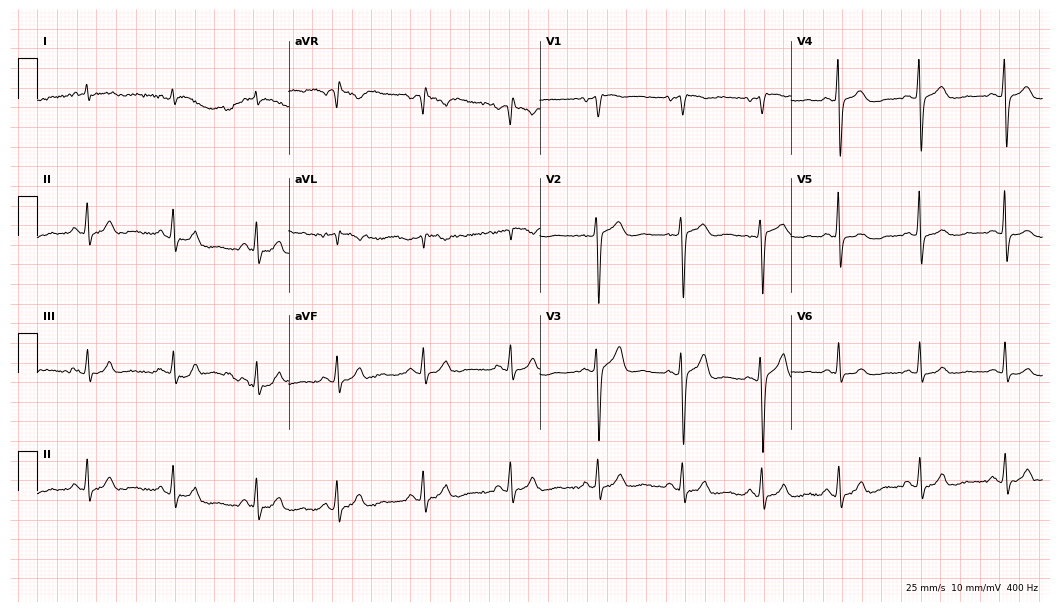
Standard 12-lead ECG recorded from a man, 51 years old. Read as a normal ECG.